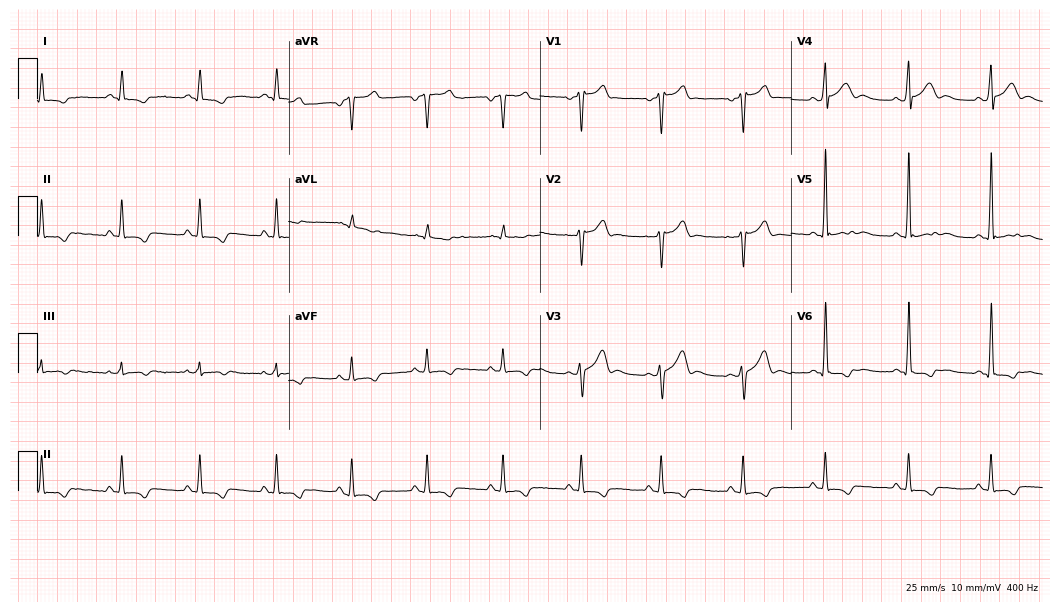
ECG (10.2-second recording at 400 Hz) — a male, 36 years old. Screened for six findings — first-degree AV block, right bundle branch block, left bundle branch block, sinus bradycardia, atrial fibrillation, sinus tachycardia — none is recorded. Only these six findings were labelled.